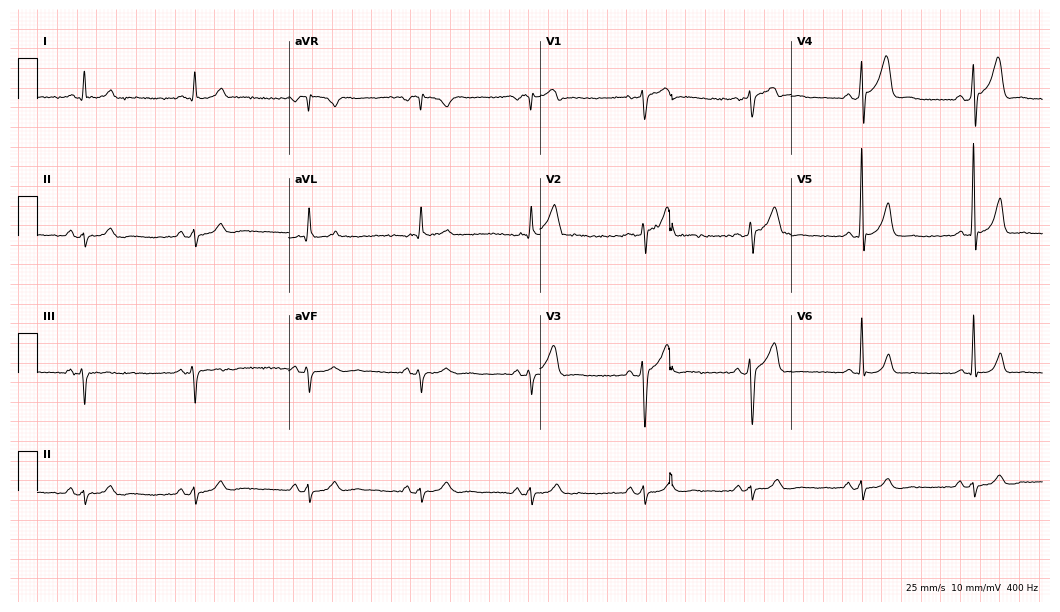
Electrocardiogram, a 58-year-old male patient. Of the six screened findings (first-degree AV block, right bundle branch block (RBBB), left bundle branch block (LBBB), sinus bradycardia, atrial fibrillation (AF), sinus tachycardia), none is recorded. Only these six findings were labelled.